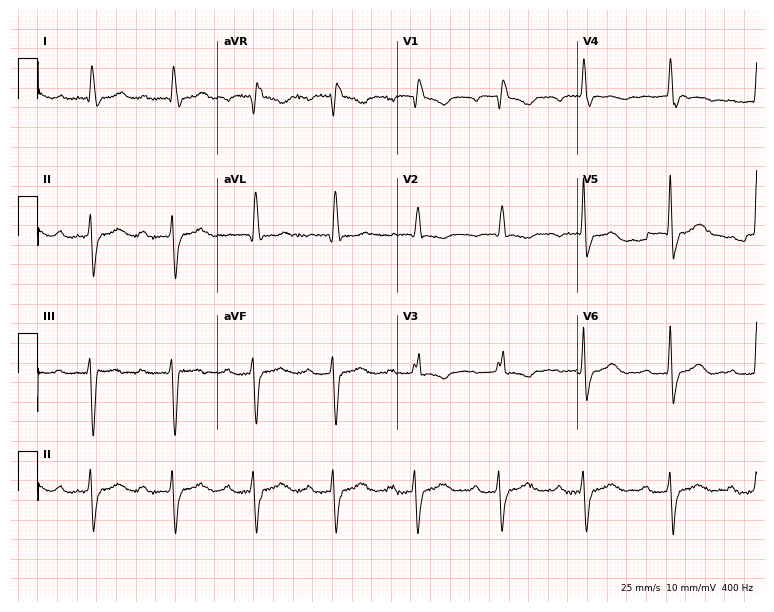
Resting 12-lead electrocardiogram. Patient: a 71-year-old female. The tracing shows first-degree AV block, right bundle branch block.